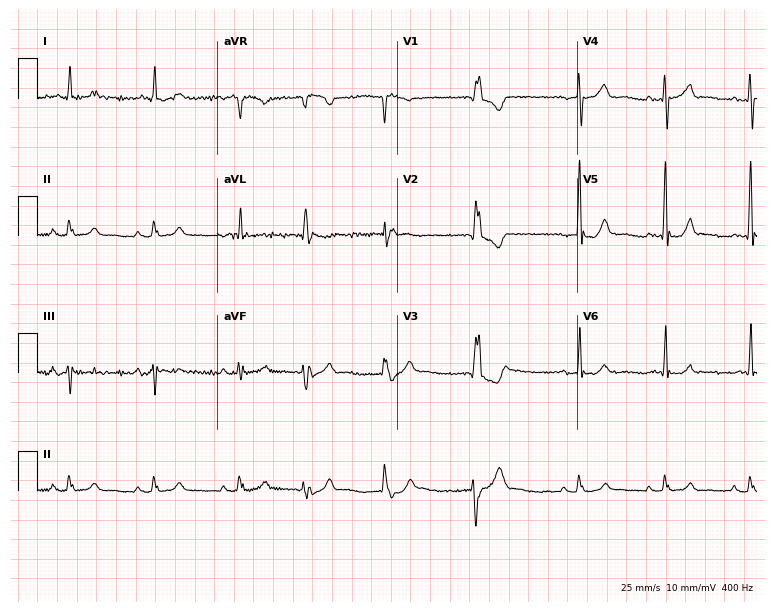
Standard 12-lead ECG recorded from a woman, 80 years old. None of these six findings is recorded: first-degree AV block, right bundle branch block (RBBB), left bundle branch block (LBBB), sinus bradycardia, atrial fibrillation (AF), sinus tachycardia. Findings outside these six are not listed.